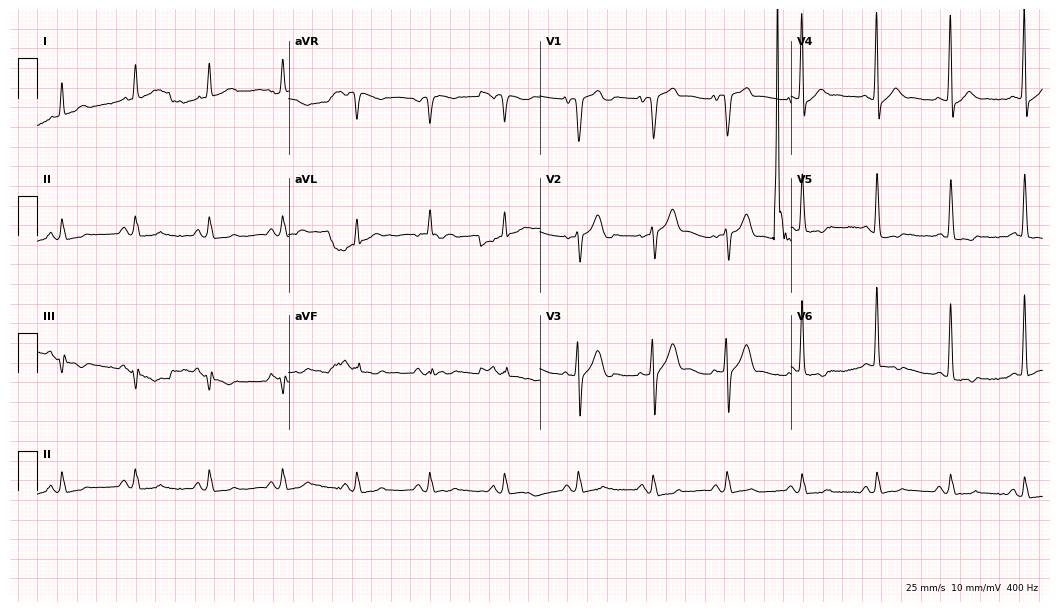
Electrocardiogram, a 79-year-old man. Of the six screened findings (first-degree AV block, right bundle branch block (RBBB), left bundle branch block (LBBB), sinus bradycardia, atrial fibrillation (AF), sinus tachycardia), none is recorded. Only these six findings were labelled.